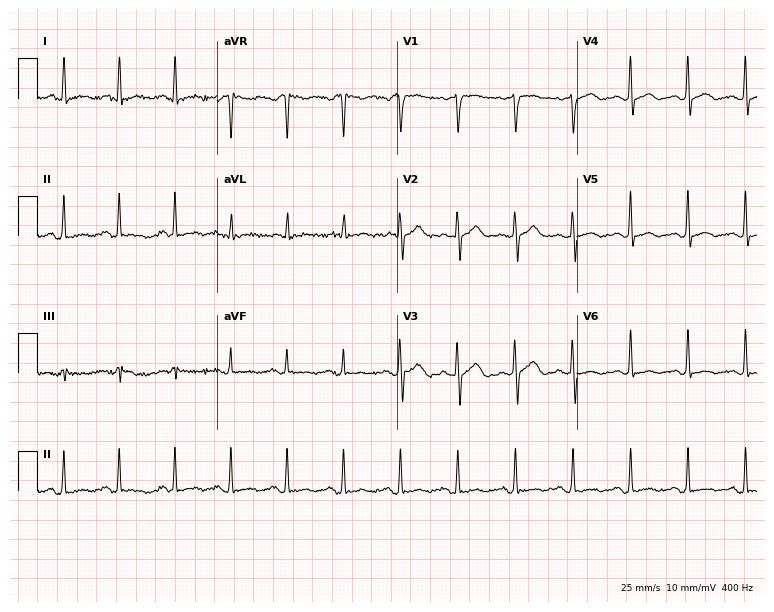
ECG (7.3-second recording at 400 Hz) — a woman, 32 years old. Findings include sinus tachycardia (a sinus rate of 100 beats per minute or more).